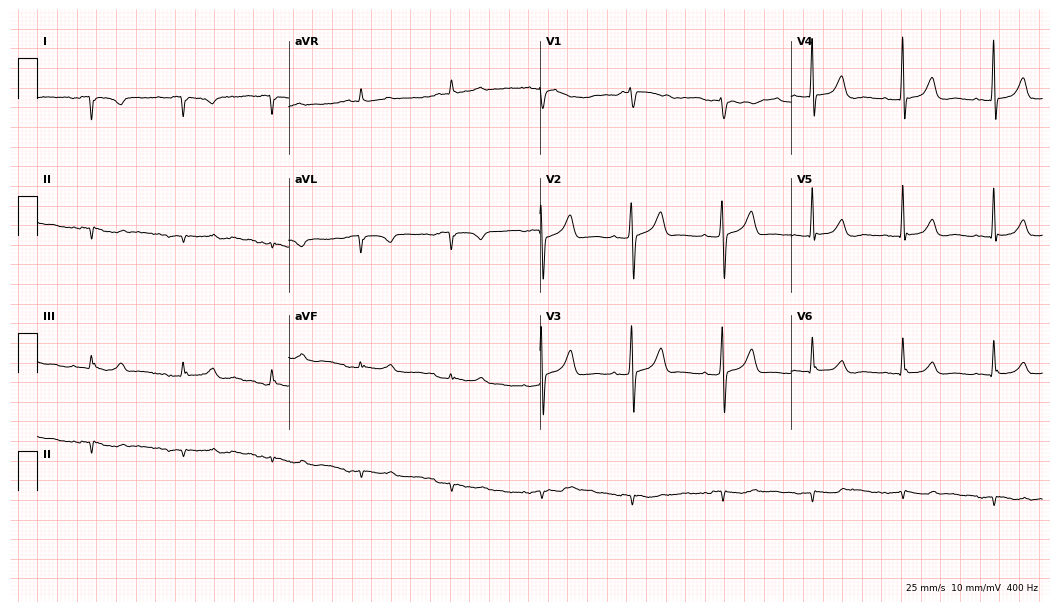
12-lead ECG (10.2-second recording at 400 Hz) from a 75-year-old female patient. Screened for six findings — first-degree AV block, right bundle branch block, left bundle branch block, sinus bradycardia, atrial fibrillation, sinus tachycardia — none is recorded.